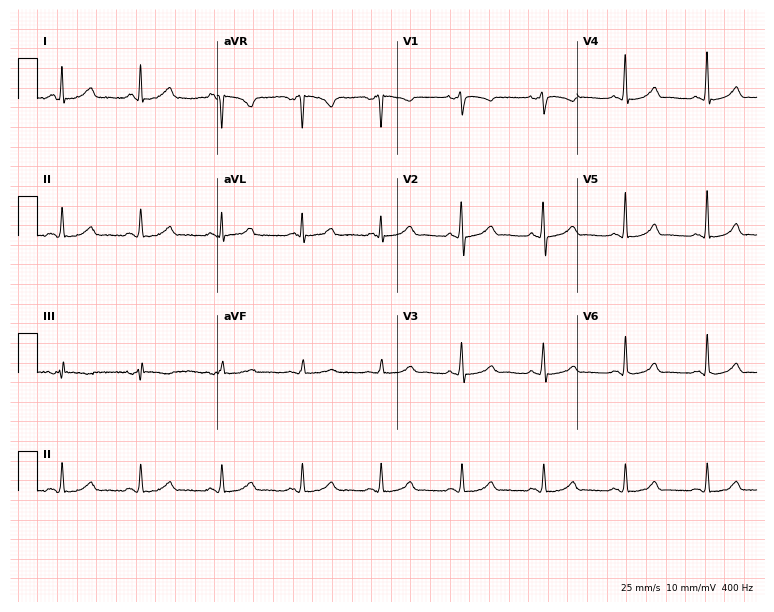
12-lead ECG from a 50-year-old female (7.3-second recording at 400 Hz). Recorded interpretation: within normal limits.